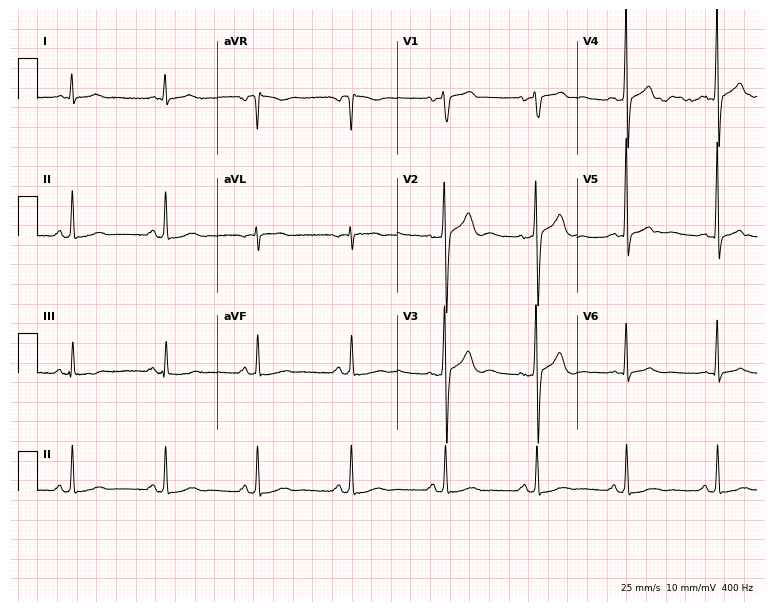
12-lead ECG from a 60-year-old male. Screened for six findings — first-degree AV block, right bundle branch block, left bundle branch block, sinus bradycardia, atrial fibrillation, sinus tachycardia — none is recorded.